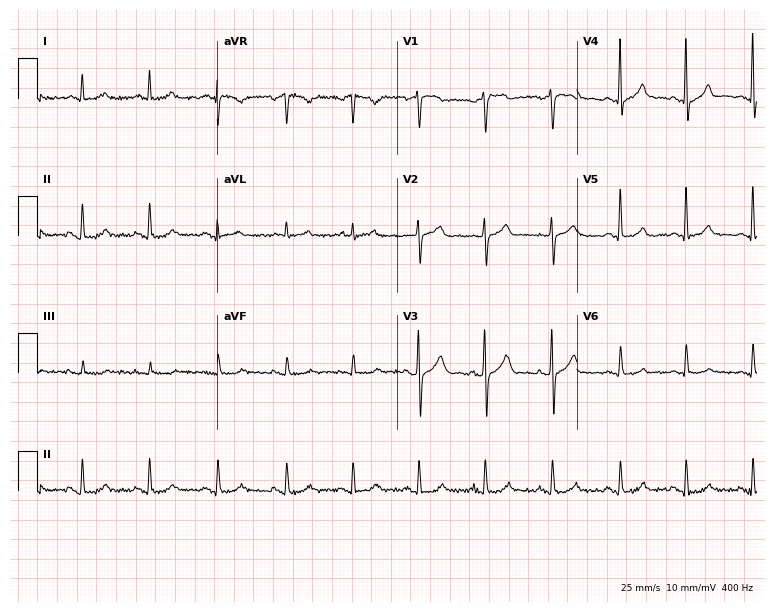
Resting 12-lead electrocardiogram (7.3-second recording at 400 Hz). Patient: a 52-year-old male. Read as a normal ECG.